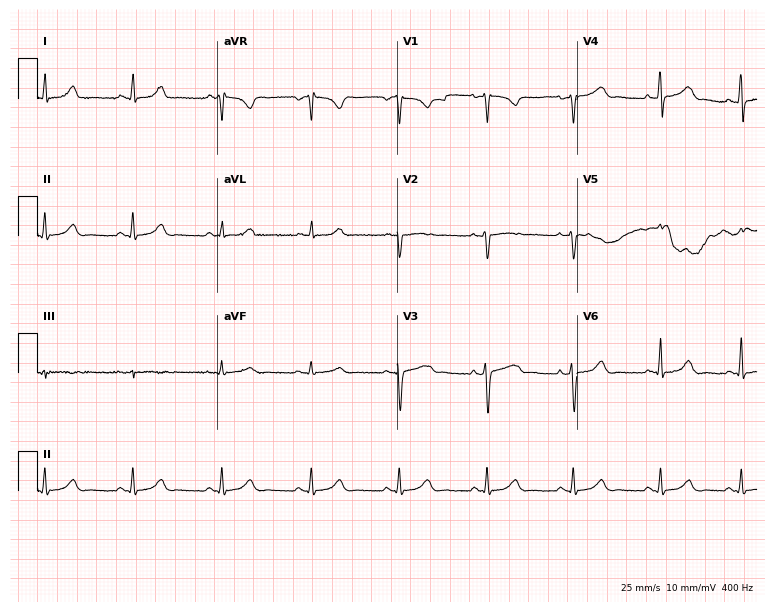
12-lead ECG from a female, 25 years old. Recorded interpretation: within normal limits.